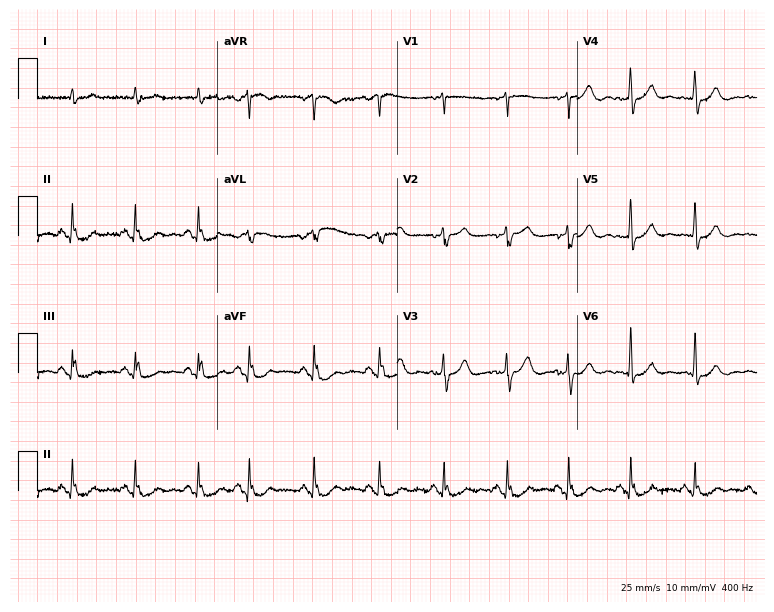
ECG — a 71-year-old man. Screened for six findings — first-degree AV block, right bundle branch block (RBBB), left bundle branch block (LBBB), sinus bradycardia, atrial fibrillation (AF), sinus tachycardia — none is recorded. Findings outside these six are not listed.